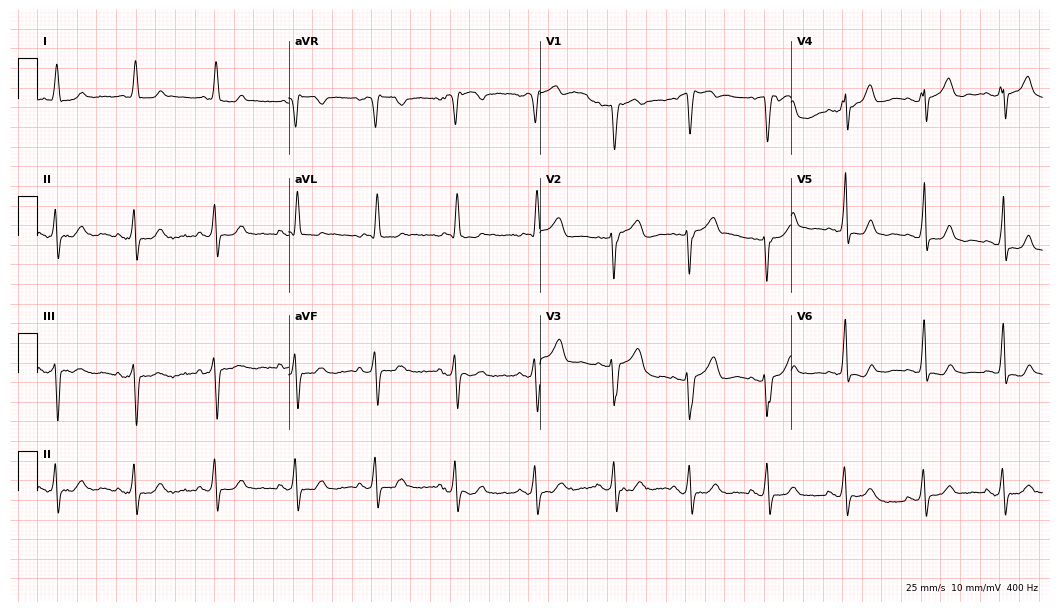
Resting 12-lead electrocardiogram (10.2-second recording at 400 Hz). Patient: a female, 78 years old. None of these six findings is recorded: first-degree AV block, right bundle branch block, left bundle branch block, sinus bradycardia, atrial fibrillation, sinus tachycardia. Only these six findings were labelled.